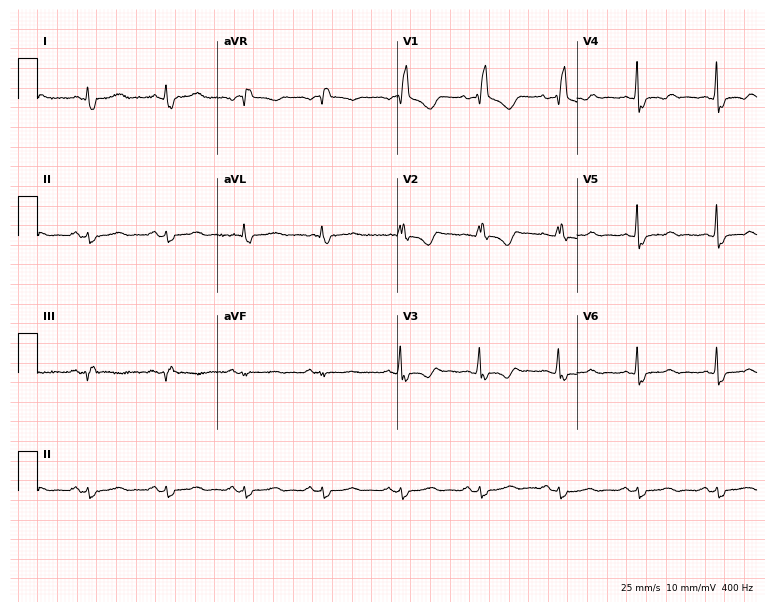
ECG — a 49-year-old woman. Findings include right bundle branch block.